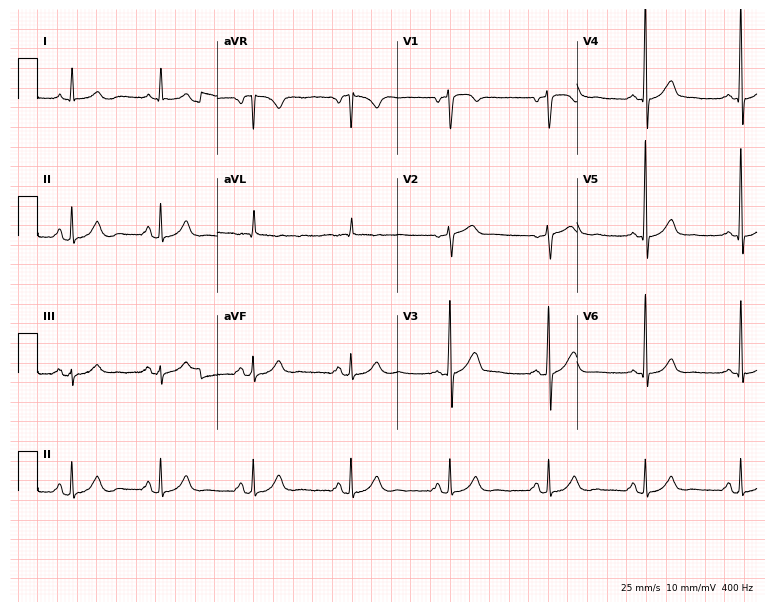
Resting 12-lead electrocardiogram (7.3-second recording at 400 Hz). Patient: a male, 53 years old. Read as a normal ECG.